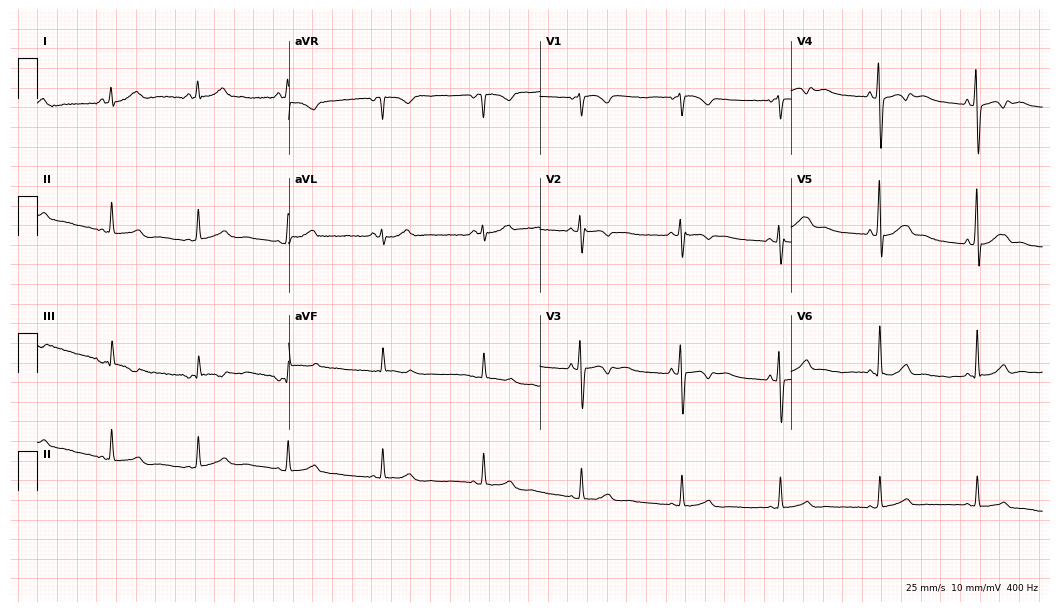
Standard 12-lead ECG recorded from a female patient, 40 years old (10.2-second recording at 400 Hz). None of these six findings is recorded: first-degree AV block, right bundle branch block, left bundle branch block, sinus bradycardia, atrial fibrillation, sinus tachycardia. Findings outside these six are not listed.